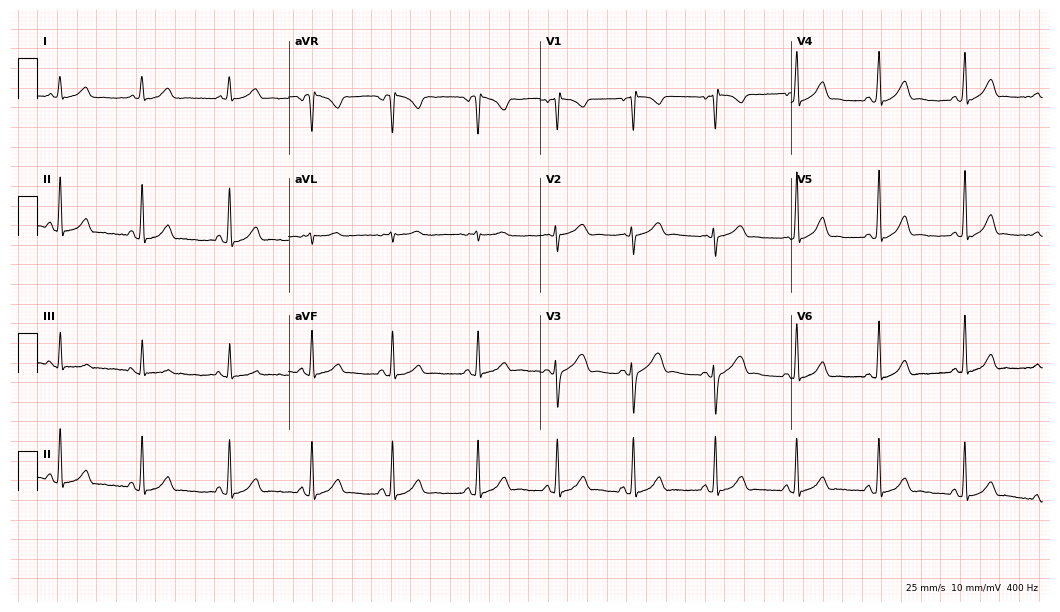
Standard 12-lead ECG recorded from a female patient, 18 years old (10.2-second recording at 400 Hz). None of these six findings is recorded: first-degree AV block, right bundle branch block, left bundle branch block, sinus bradycardia, atrial fibrillation, sinus tachycardia.